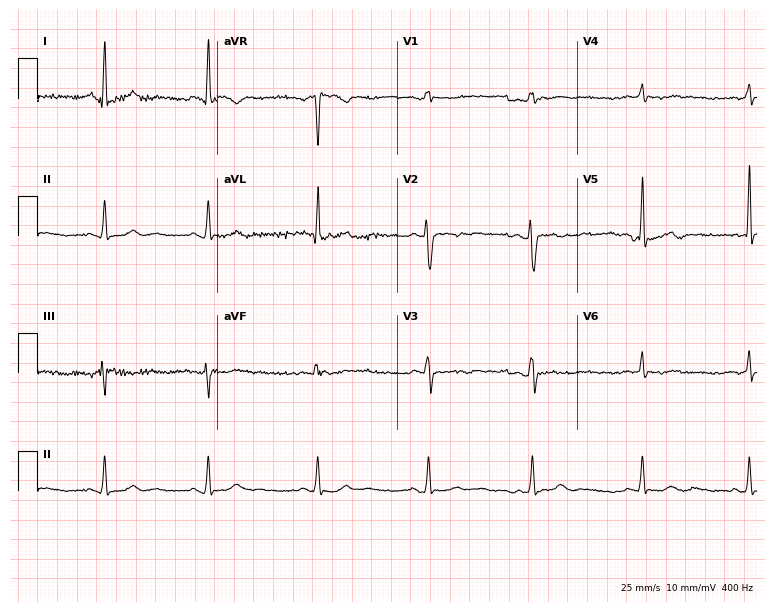
ECG — a 31-year-old female. Screened for six findings — first-degree AV block, right bundle branch block (RBBB), left bundle branch block (LBBB), sinus bradycardia, atrial fibrillation (AF), sinus tachycardia — none is recorded. Findings outside these six are not listed.